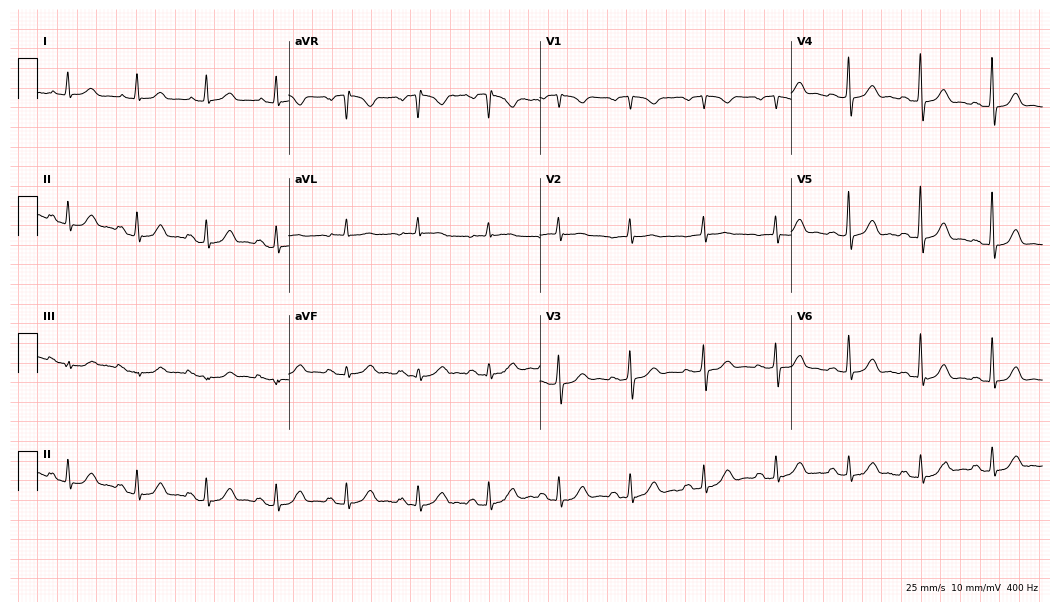
12-lead ECG from a 69-year-old female patient. Labelled as a normal ECG.